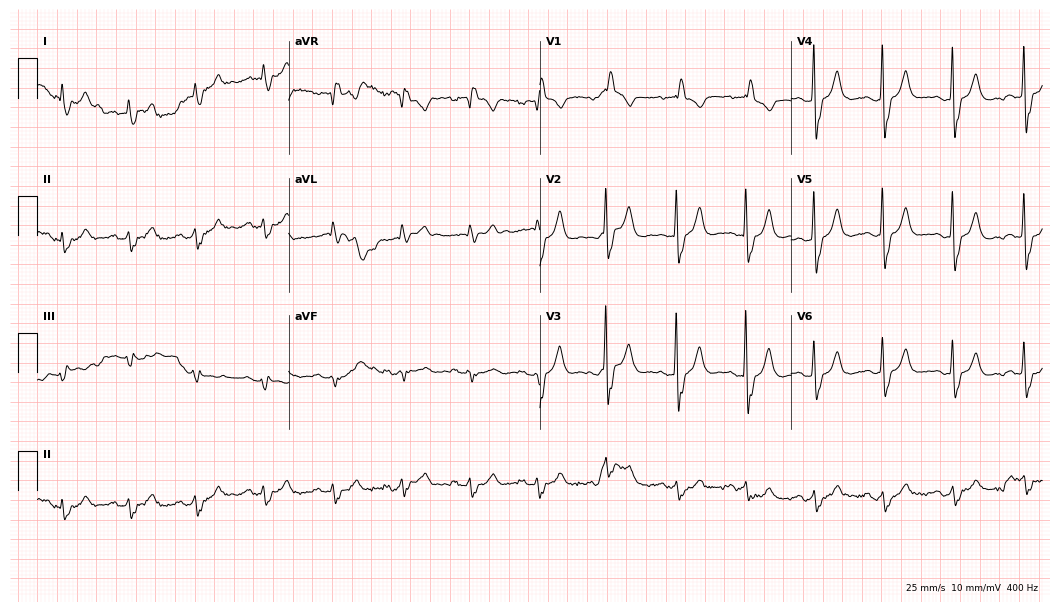
Resting 12-lead electrocardiogram. Patient: a man, 66 years old. None of these six findings is recorded: first-degree AV block, right bundle branch block, left bundle branch block, sinus bradycardia, atrial fibrillation, sinus tachycardia. Other findings, if any, are not listed.